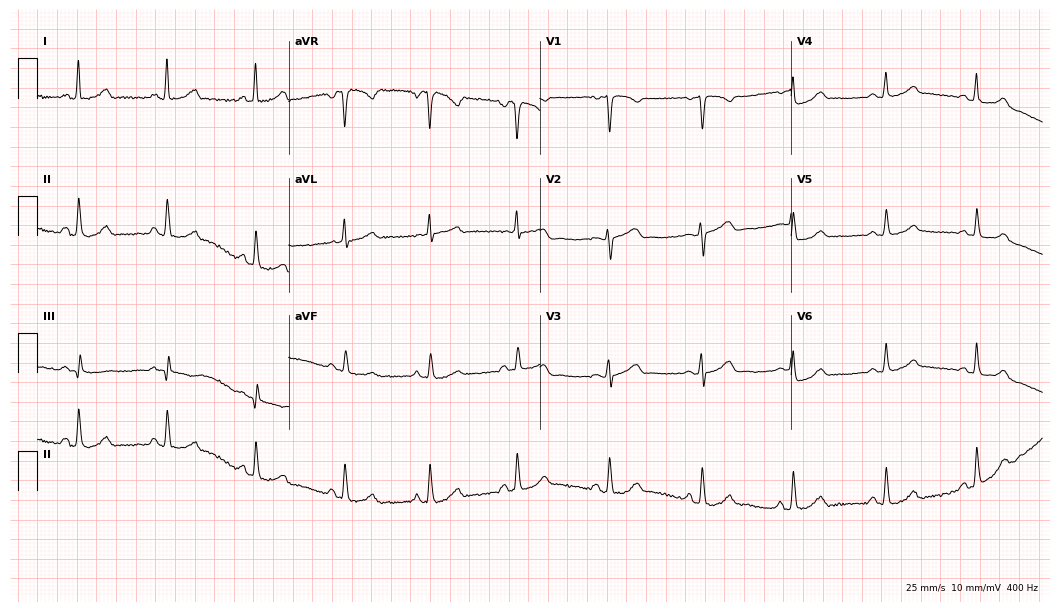
Standard 12-lead ECG recorded from a 46-year-old female (10.2-second recording at 400 Hz). Read as a normal ECG.